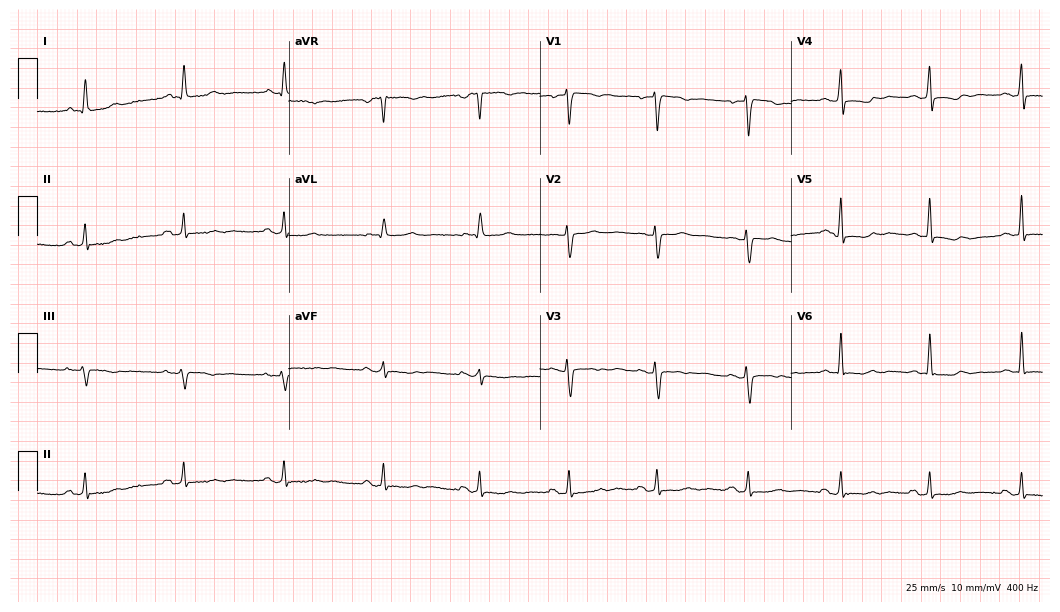
ECG — a 60-year-old female patient. Screened for six findings — first-degree AV block, right bundle branch block (RBBB), left bundle branch block (LBBB), sinus bradycardia, atrial fibrillation (AF), sinus tachycardia — none is recorded.